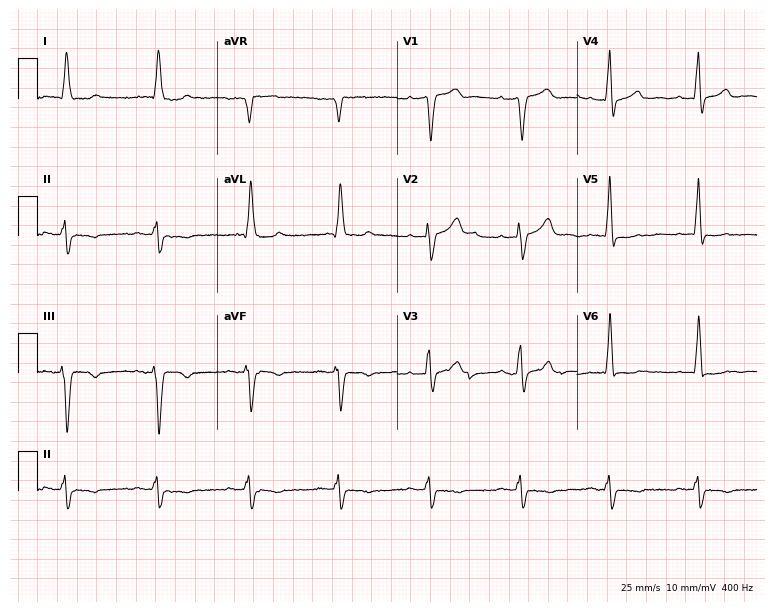
12-lead ECG from a man, 71 years old (7.3-second recording at 400 Hz). No first-degree AV block, right bundle branch block, left bundle branch block, sinus bradycardia, atrial fibrillation or sinus tachycardia recorded for this tracing. Findings outside these six are not listed.